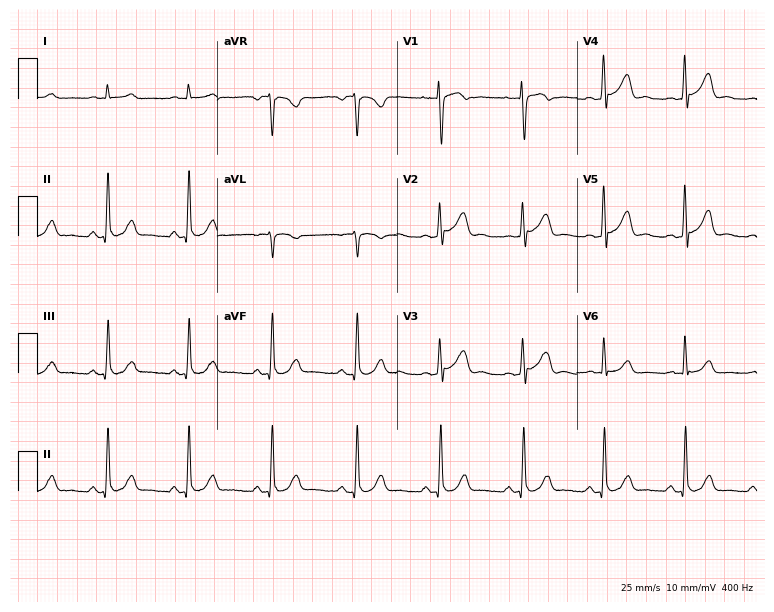
Resting 12-lead electrocardiogram (7.3-second recording at 400 Hz). Patient: a 40-year-old man. None of these six findings is recorded: first-degree AV block, right bundle branch block, left bundle branch block, sinus bradycardia, atrial fibrillation, sinus tachycardia.